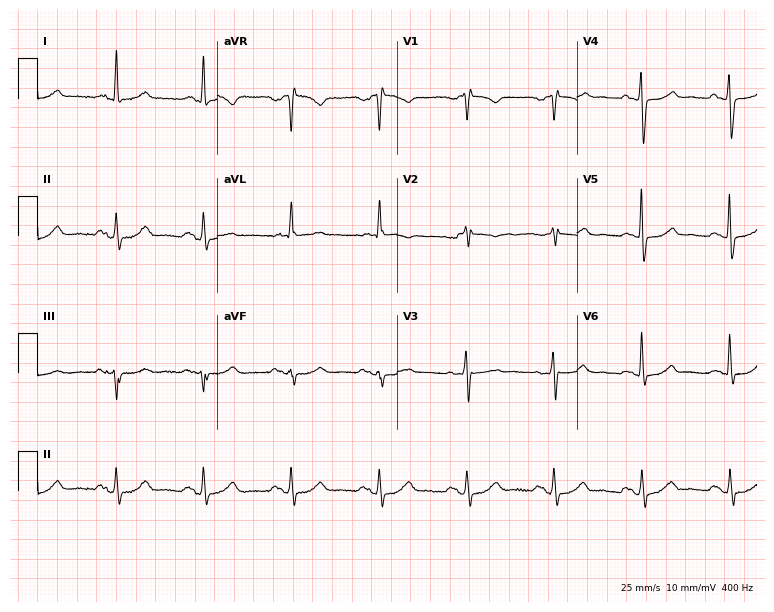
ECG (7.3-second recording at 400 Hz) — a 69-year-old woman. Screened for six findings — first-degree AV block, right bundle branch block, left bundle branch block, sinus bradycardia, atrial fibrillation, sinus tachycardia — none is recorded. Findings outside these six are not listed.